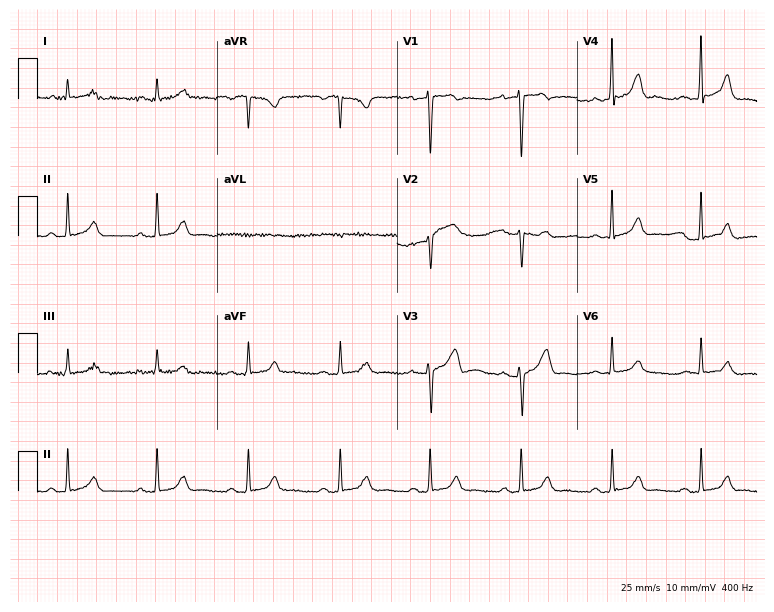
Electrocardiogram (7.3-second recording at 400 Hz), a male, 51 years old. Of the six screened findings (first-degree AV block, right bundle branch block, left bundle branch block, sinus bradycardia, atrial fibrillation, sinus tachycardia), none is recorded. Findings outside these six are not listed.